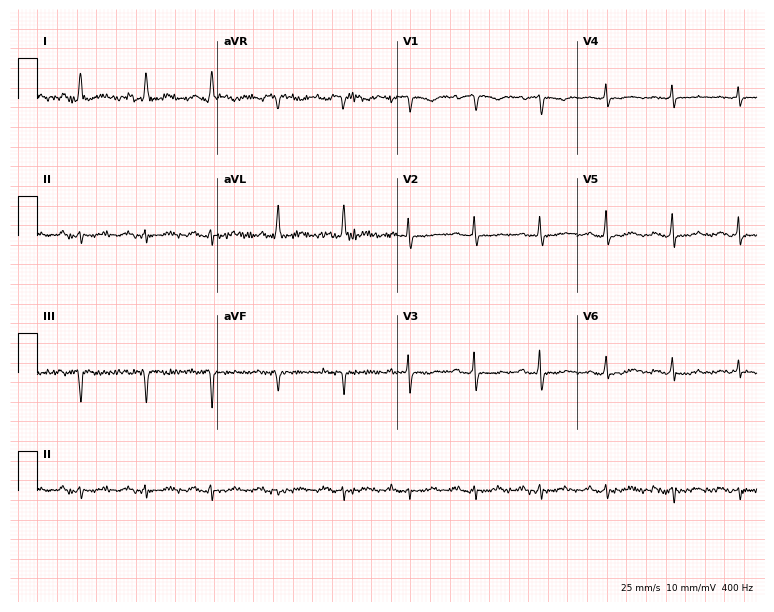
12-lead ECG from a female patient, 78 years old. No first-degree AV block, right bundle branch block (RBBB), left bundle branch block (LBBB), sinus bradycardia, atrial fibrillation (AF) or sinus tachycardia recorded for this tracing.